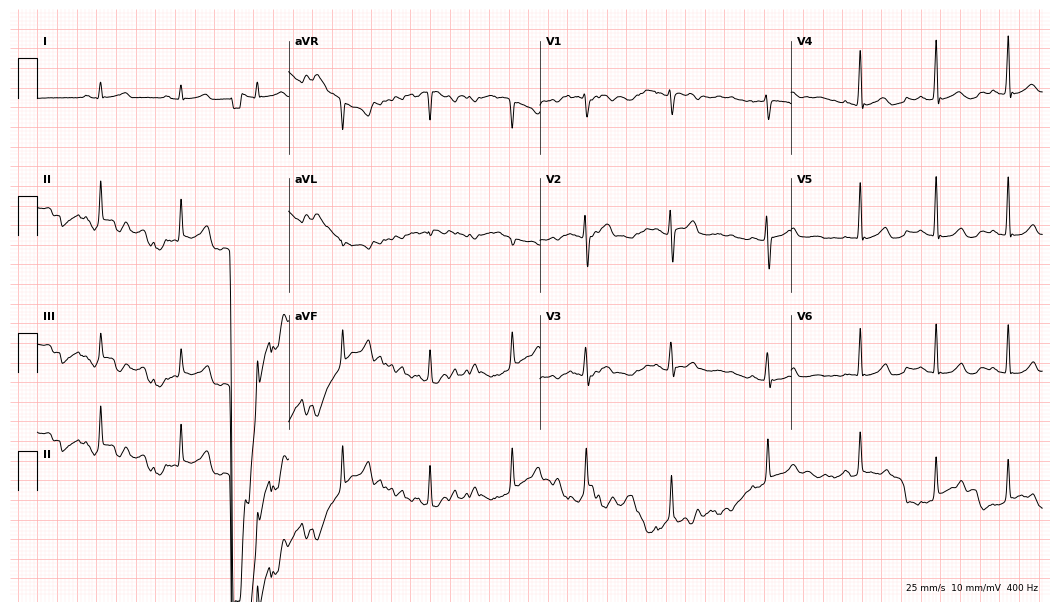
Resting 12-lead electrocardiogram (10.2-second recording at 400 Hz). Patient: a 22-year-old female. None of these six findings is recorded: first-degree AV block, right bundle branch block, left bundle branch block, sinus bradycardia, atrial fibrillation, sinus tachycardia. Only these six findings were labelled.